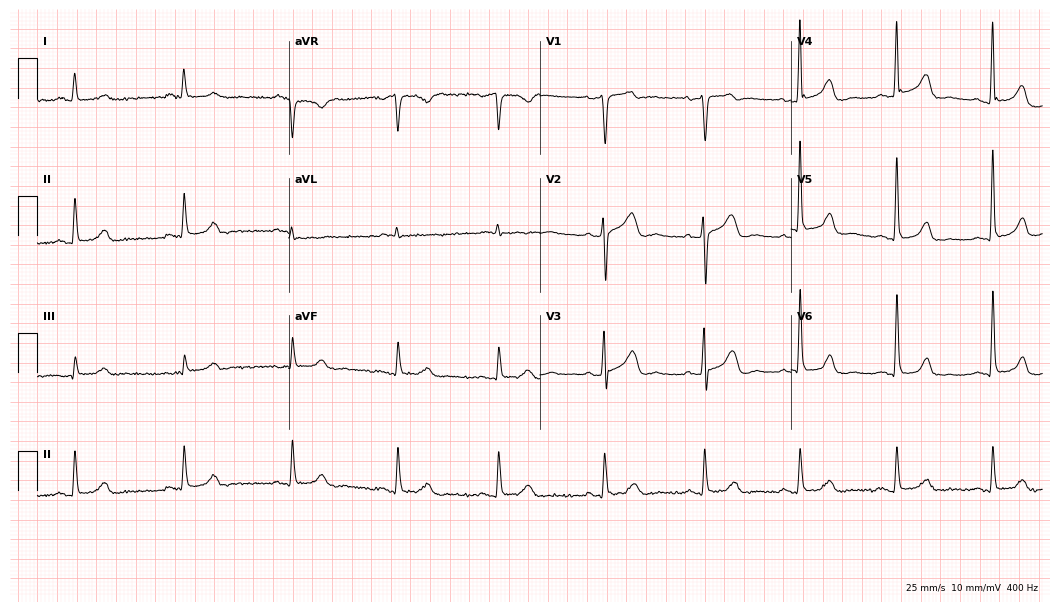
ECG (10.2-second recording at 400 Hz) — a male patient, 72 years old. Screened for six findings — first-degree AV block, right bundle branch block (RBBB), left bundle branch block (LBBB), sinus bradycardia, atrial fibrillation (AF), sinus tachycardia — none is recorded.